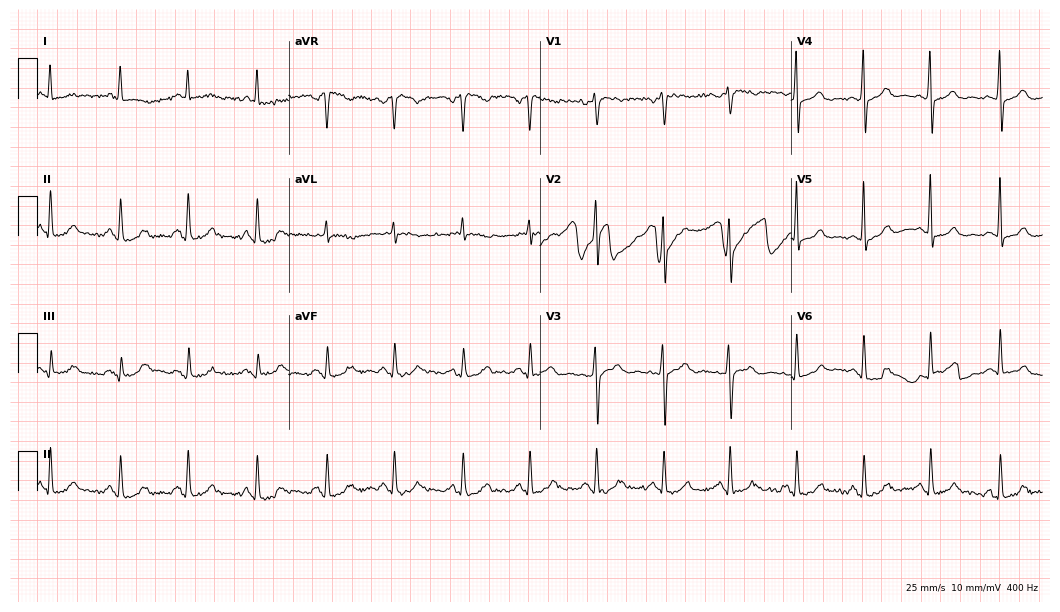
Resting 12-lead electrocardiogram. Patient: a female, 56 years old. Read as a normal ECG.